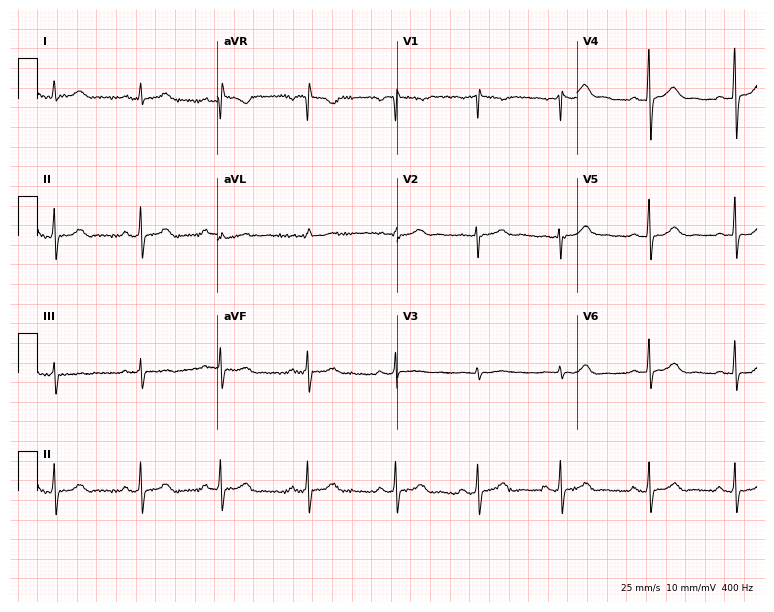
12-lead ECG (7.3-second recording at 400 Hz) from a 29-year-old woman. Labelled as a normal ECG.